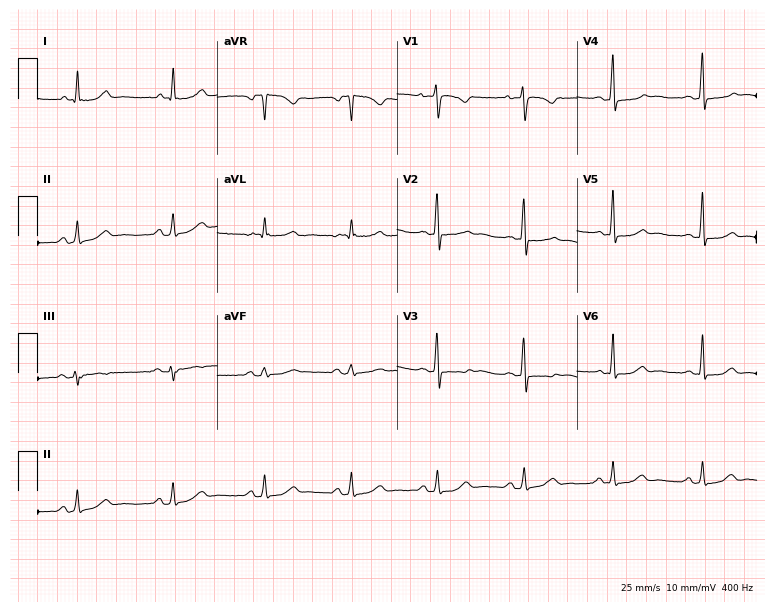
12-lead ECG from a 39-year-old female patient (7.3-second recording at 400 Hz). No first-degree AV block, right bundle branch block (RBBB), left bundle branch block (LBBB), sinus bradycardia, atrial fibrillation (AF) or sinus tachycardia recorded for this tracing.